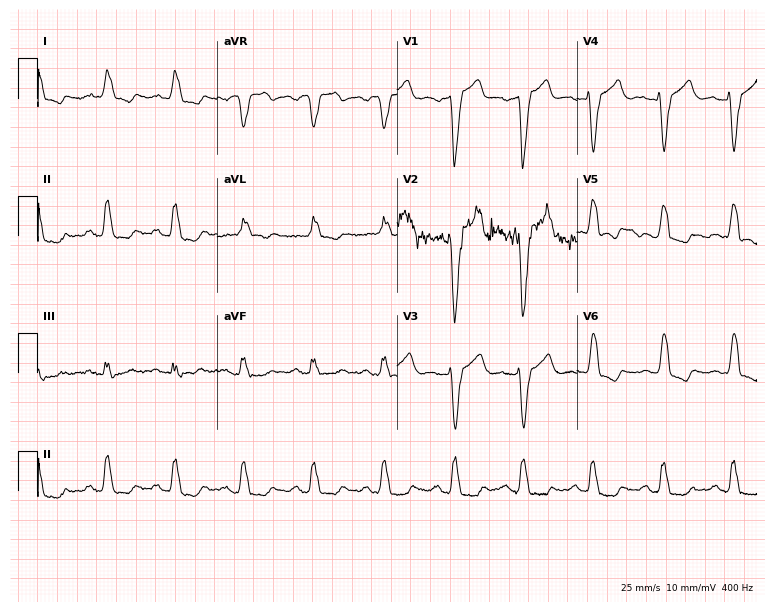
12-lead ECG from a 65-year-old male. Findings include left bundle branch block.